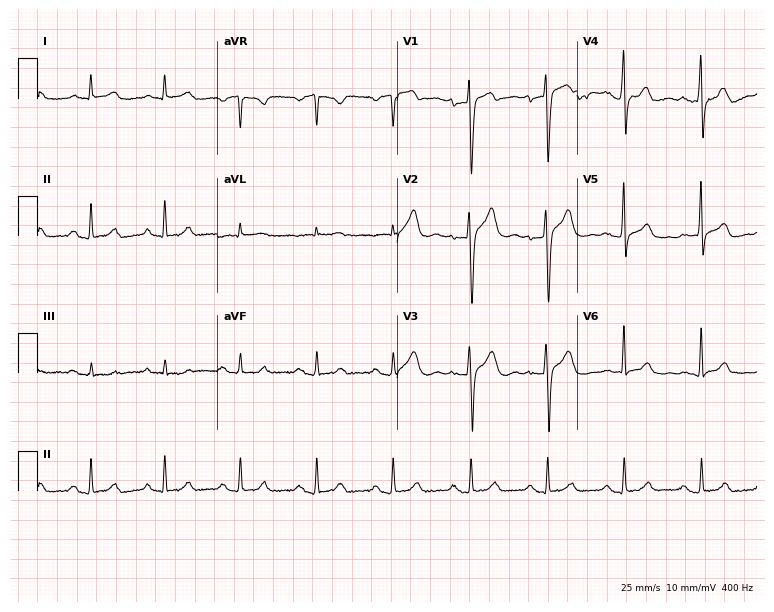
Standard 12-lead ECG recorded from a male, 35 years old (7.3-second recording at 400 Hz). Read as a normal ECG.